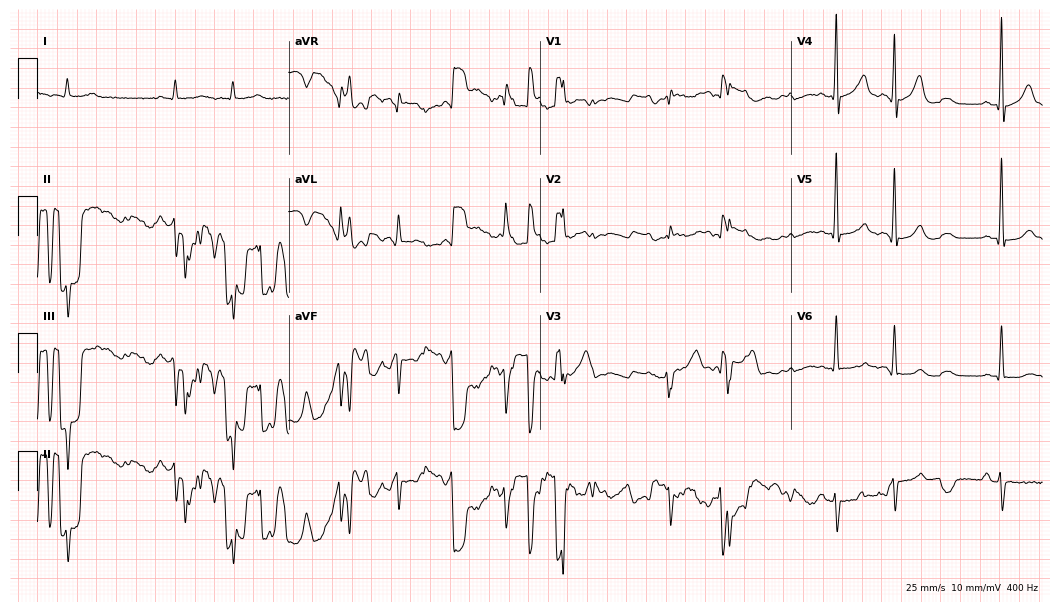
12-lead ECG from an 83-year-old male (10.2-second recording at 400 Hz). No first-degree AV block, right bundle branch block, left bundle branch block, sinus bradycardia, atrial fibrillation or sinus tachycardia recorded for this tracing.